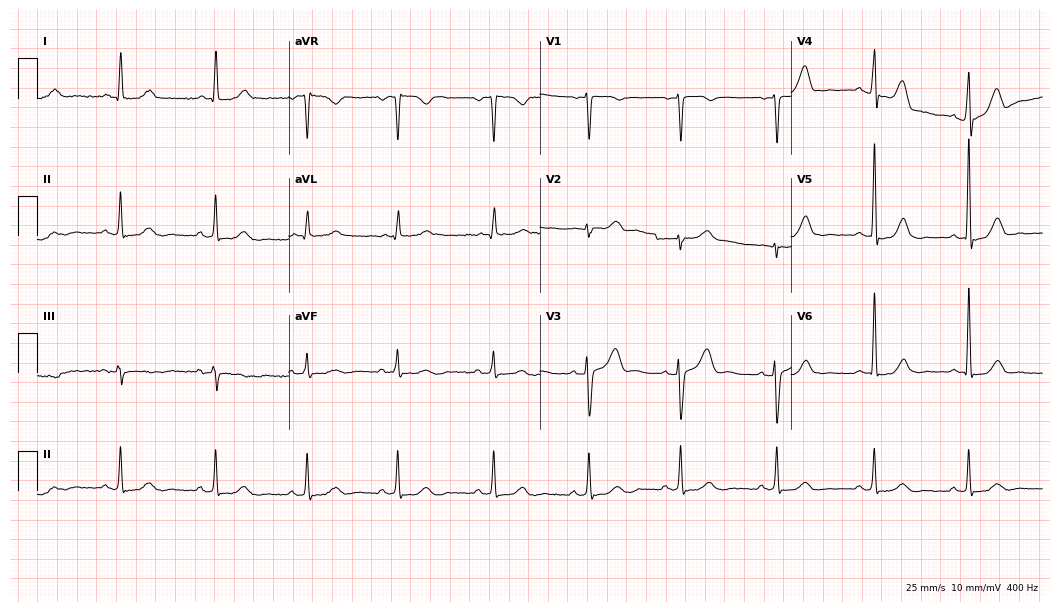
ECG (10.2-second recording at 400 Hz) — a 55-year-old female patient. Screened for six findings — first-degree AV block, right bundle branch block (RBBB), left bundle branch block (LBBB), sinus bradycardia, atrial fibrillation (AF), sinus tachycardia — none is recorded. Other findings, if any, are not listed.